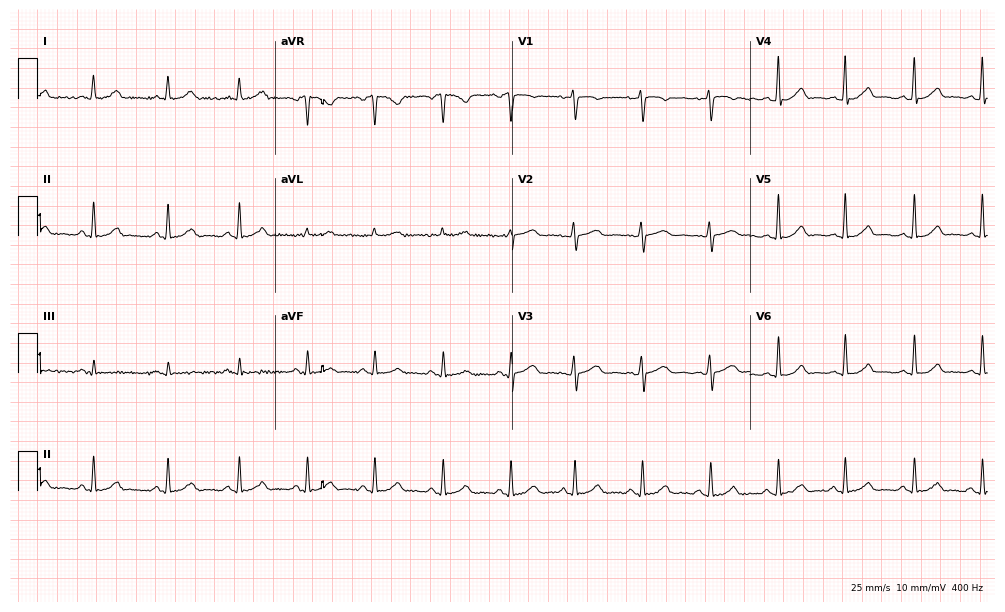
Electrocardiogram, a 29-year-old female patient. Overall reading on record: normal ECG.